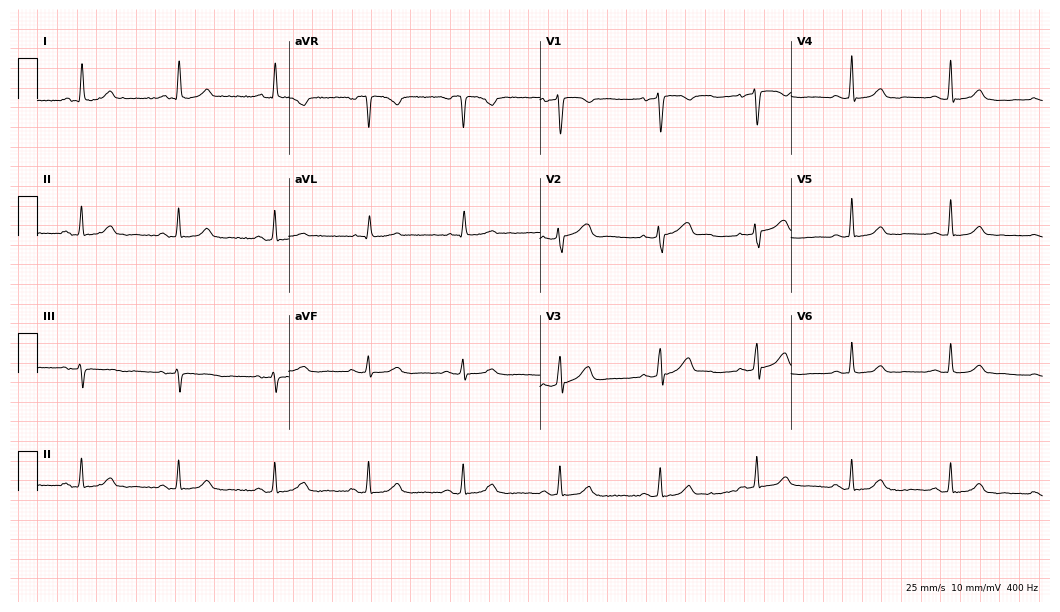
ECG — a 60-year-old female patient. Labelled as a normal ECG.